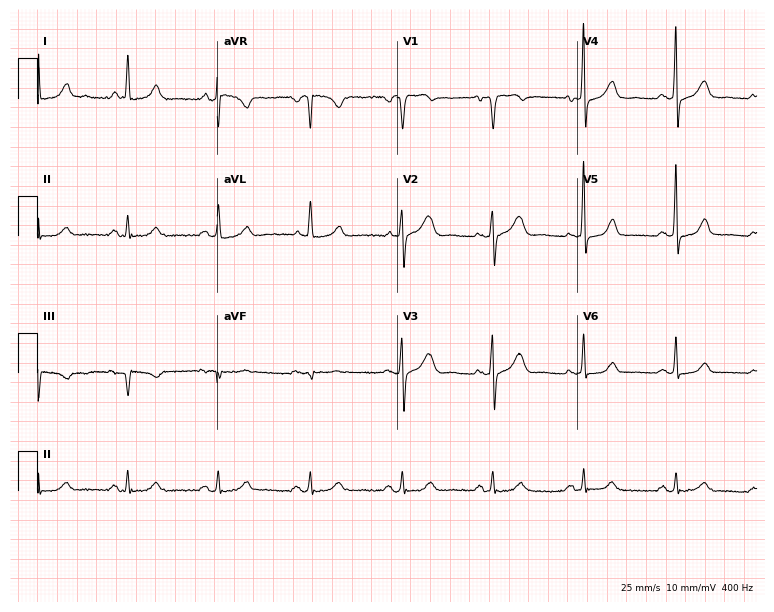
ECG (7.3-second recording at 400 Hz) — a female patient, 69 years old. Labelled as a normal ECG.